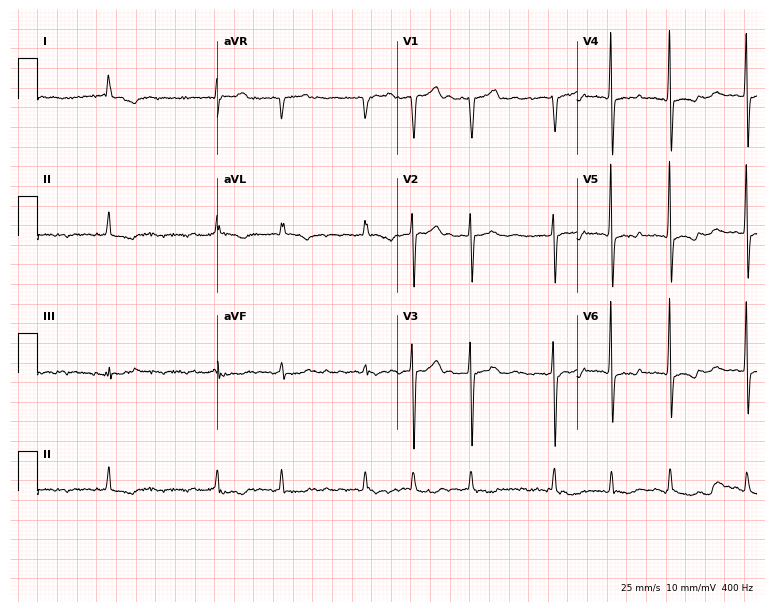
Resting 12-lead electrocardiogram (7.3-second recording at 400 Hz). Patient: an 81-year-old male. The tracing shows atrial fibrillation (AF).